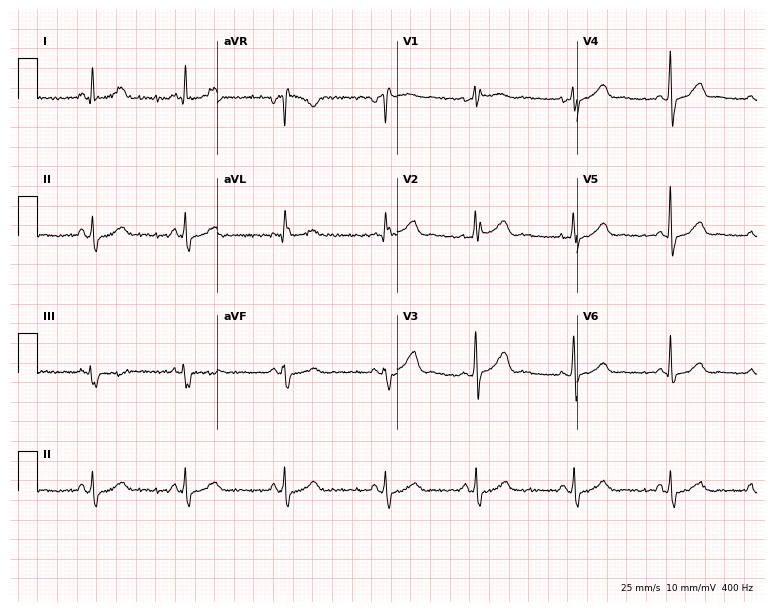
12-lead ECG from a woman, 31 years old. Screened for six findings — first-degree AV block, right bundle branch block, left bundle branch block, sinus bradycardia, atrial fibrillation, sinus tachycardia — none is recorded. Only these six findings were labelled.